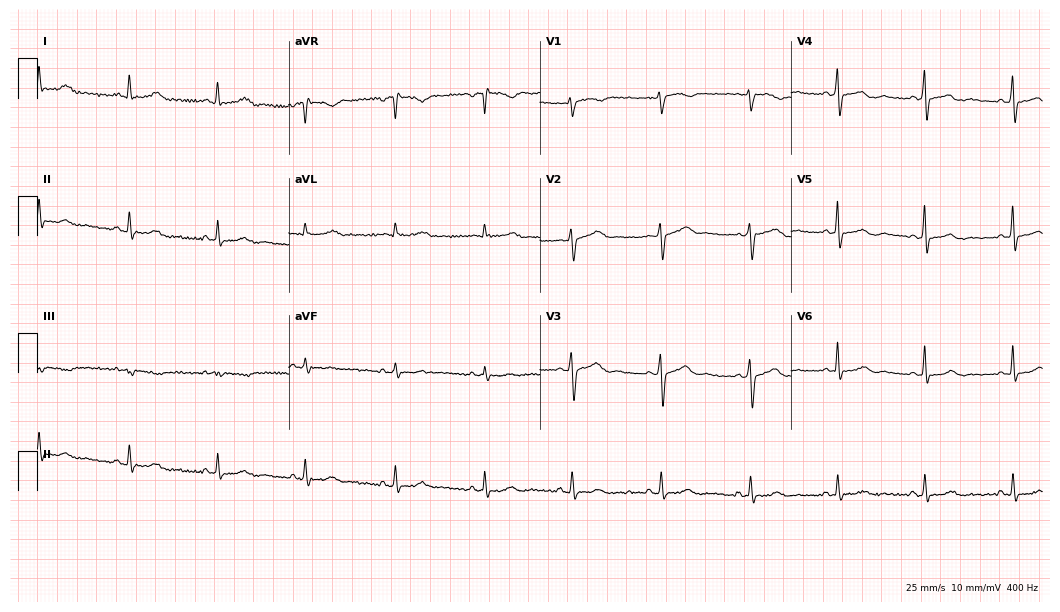
ECG (10.2-second recording at 400 Hz) — a 66-year-old female patient. Labelled as a normal ECG.